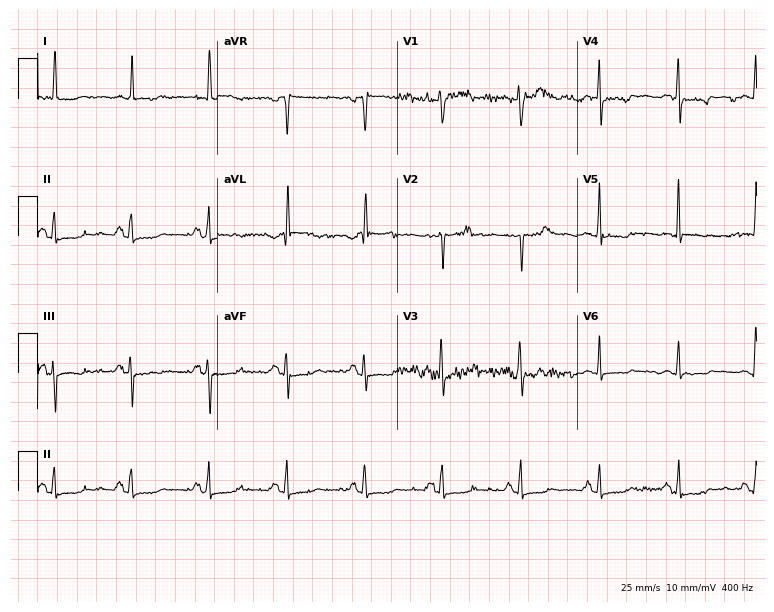
ECG — a 54-year-old woman. Screened for six findings — first-degree AV block, right bundle branch block, left bundle branch block, sinus bradycardia, atrial fibrillation, sinus tachycardia — none is recorded. Findings outside these six are not listed.